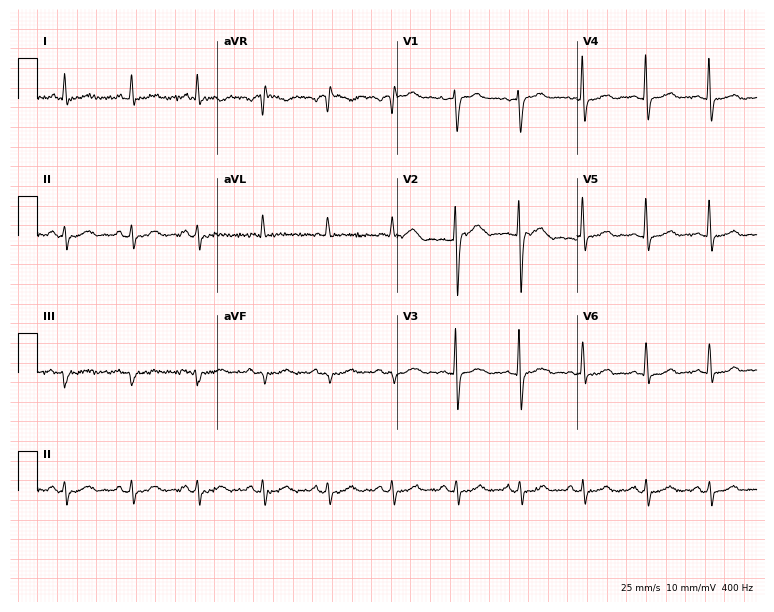
Electrocardiogram (7.3-second recording at 400 Hz), a male, 60 years old. Of the six screened findings (first-degree AV block, right bundle branch block, left bundle branch block, sinus bradycardia, atrial fibrillation, sinus tachycardia), none is recorded.